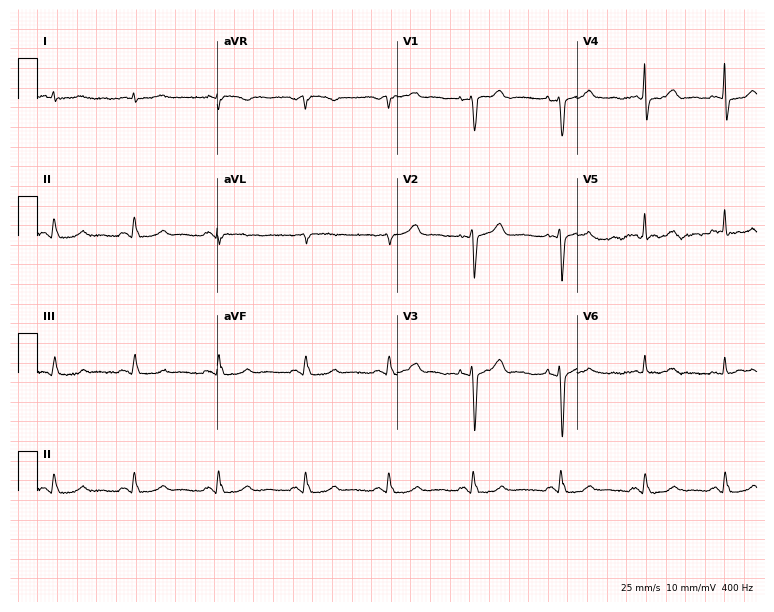
Electrocardiogram (7.3-second recording at 400 Hz), a female patient, 63 years old. Of the six screened findings (first-degree AV block, right bundle branch block, left bundle branch block, sinus bradycardia, atrial fibrillation, sinus tachycardia), none is recorded.